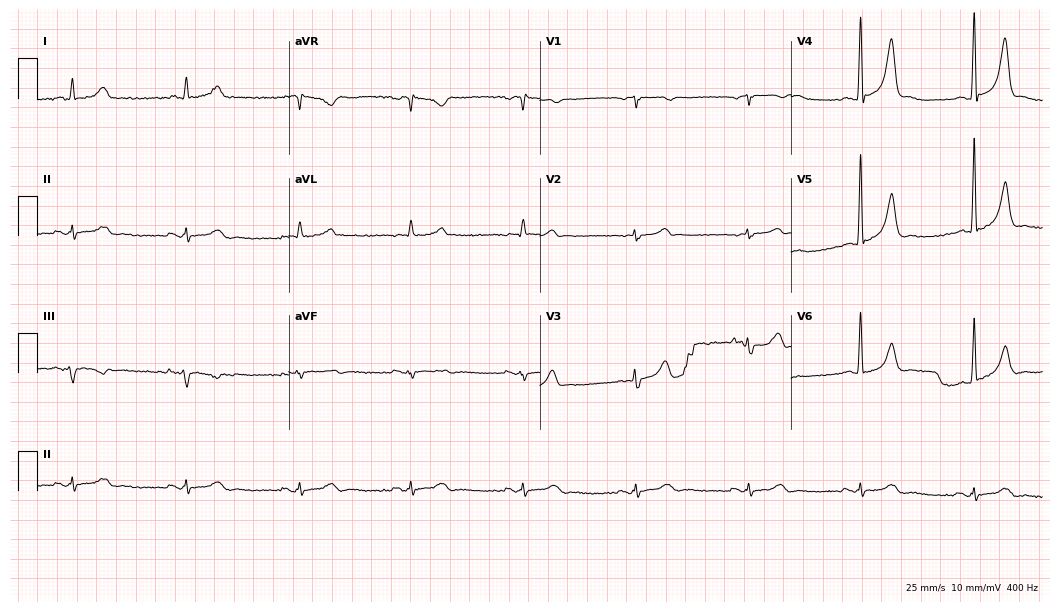
Standard 12-lead ECG recorded from a male patient, 69 years old (10.2-second recording at 400 Hz). Read as a normal ECG.